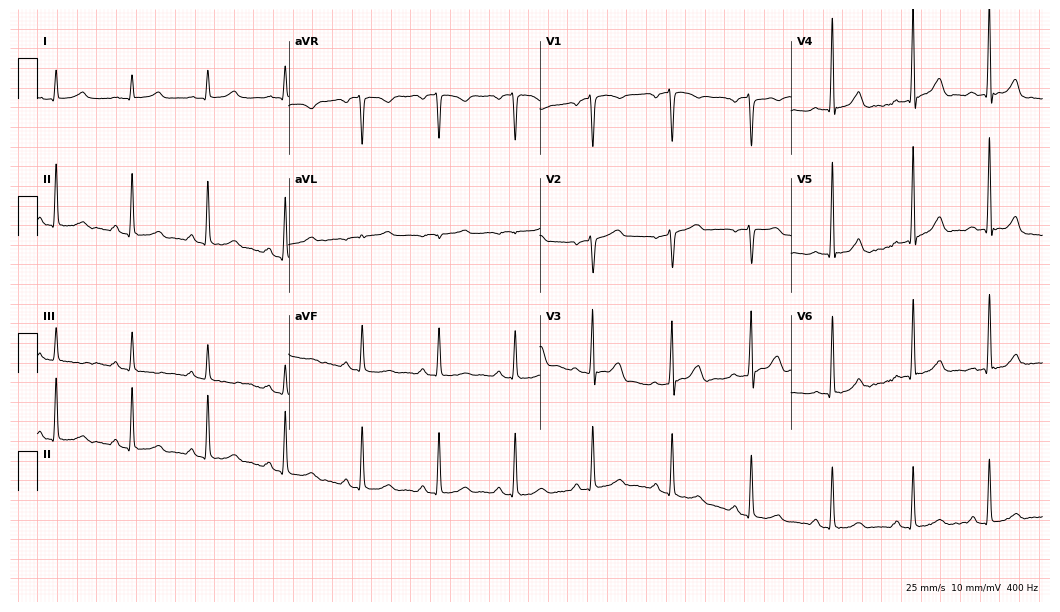
Electrocardiogram, a 47-year-old male patient. Of the six screened findings (first-degree AV block, right bundle branch block, left bundle branch block, sinus bradycardia, atrial fibrillation, sinus tachycardia), none is recorded.